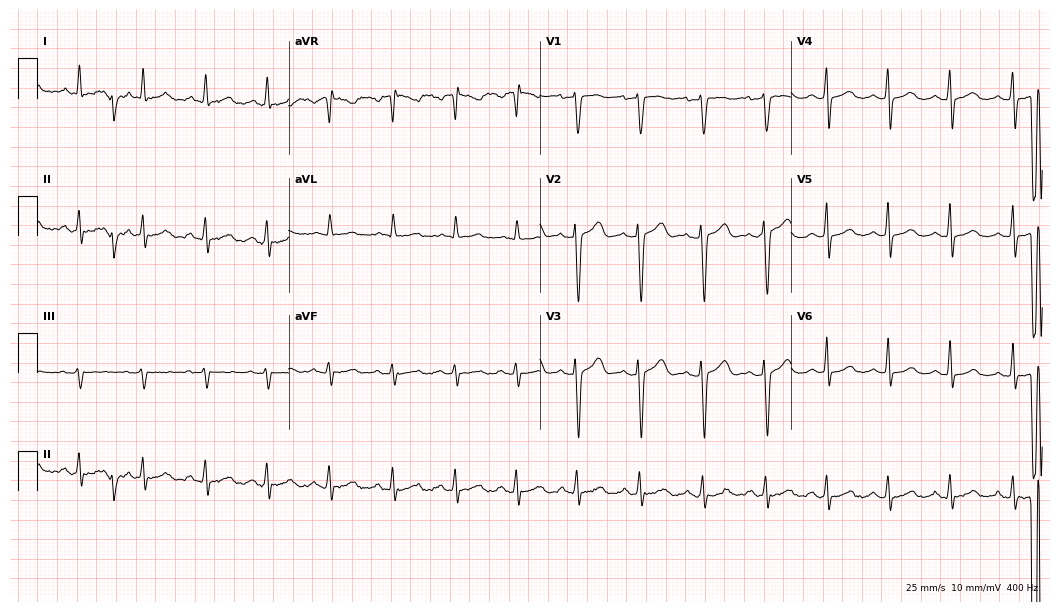
ECG — a female patient, 34 years old. Labelled as a normal ECG.